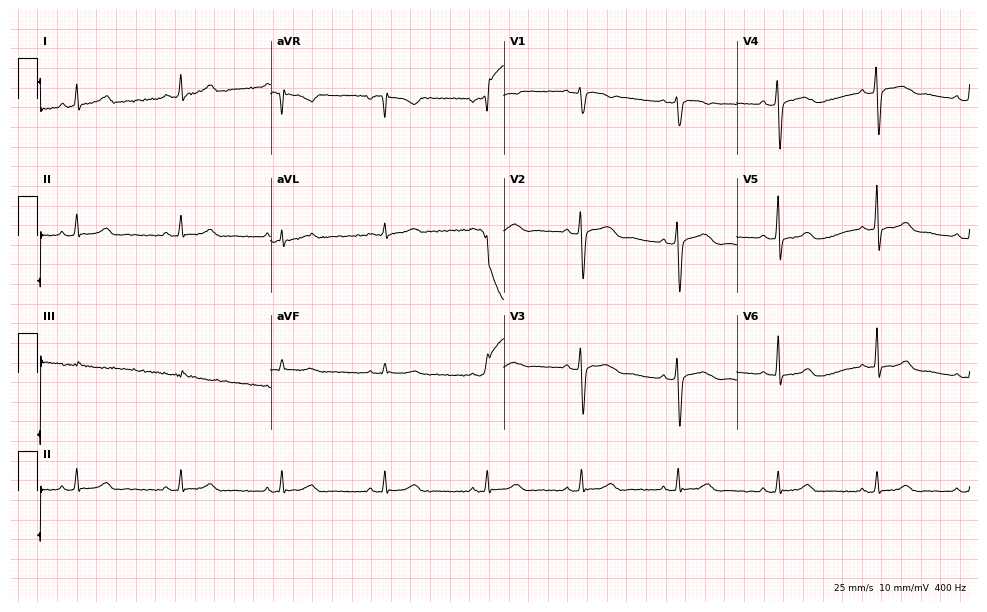
Resting 12-lead electrocardiogram (9.5-second recording at 400 Hz). Patient: a female, 35 years old. Read as a normal ECG.